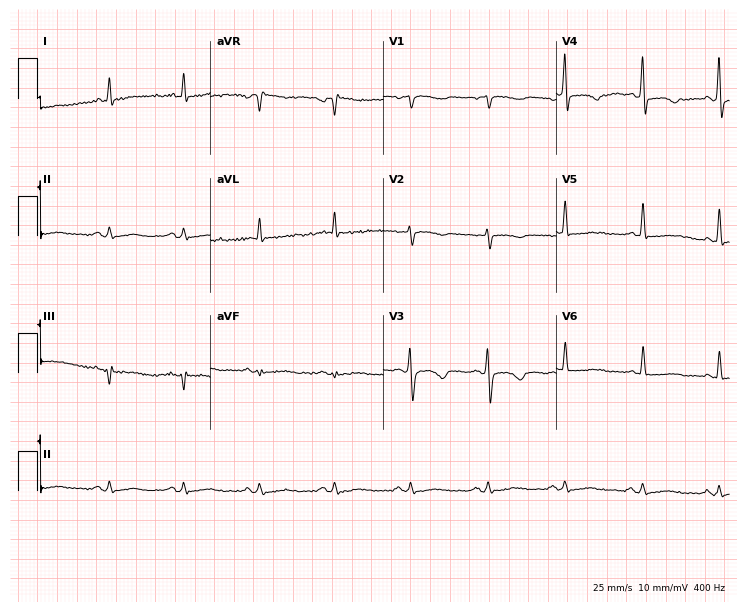
ECG — a 37-year-old female patient. Screened for six findings — first-degree AV block, right bundle branch block, left bundle branch block, sinus bradycardia, atrial fibrillation, sinus tachycardia — none is recorded.